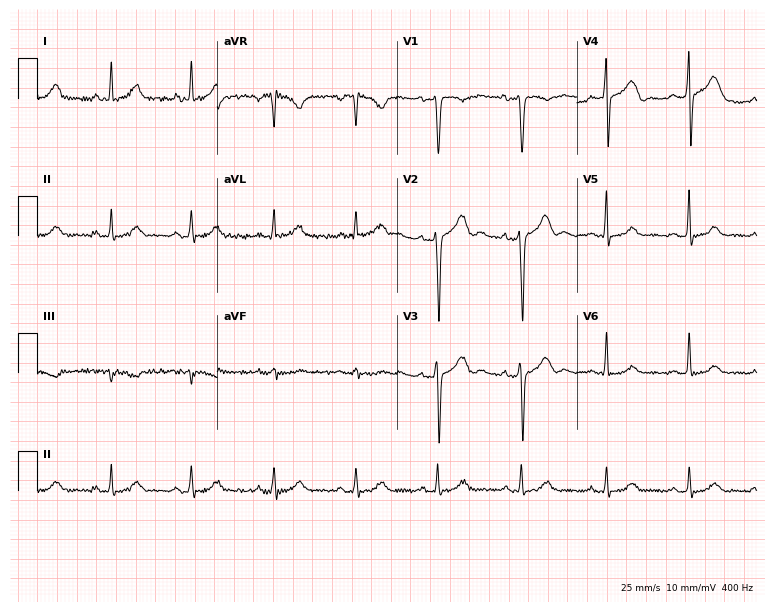
Standard 12-lead ECG recorded from a 49-year-old female. None of these six findings is recorded: first-degree AV block, right bundle branch block (RBBB), left bundle branch block (LBBB), sinus bradycardia, atrial fibrillation (AF), sinus tachycardia. Findings outside these six are not listed.